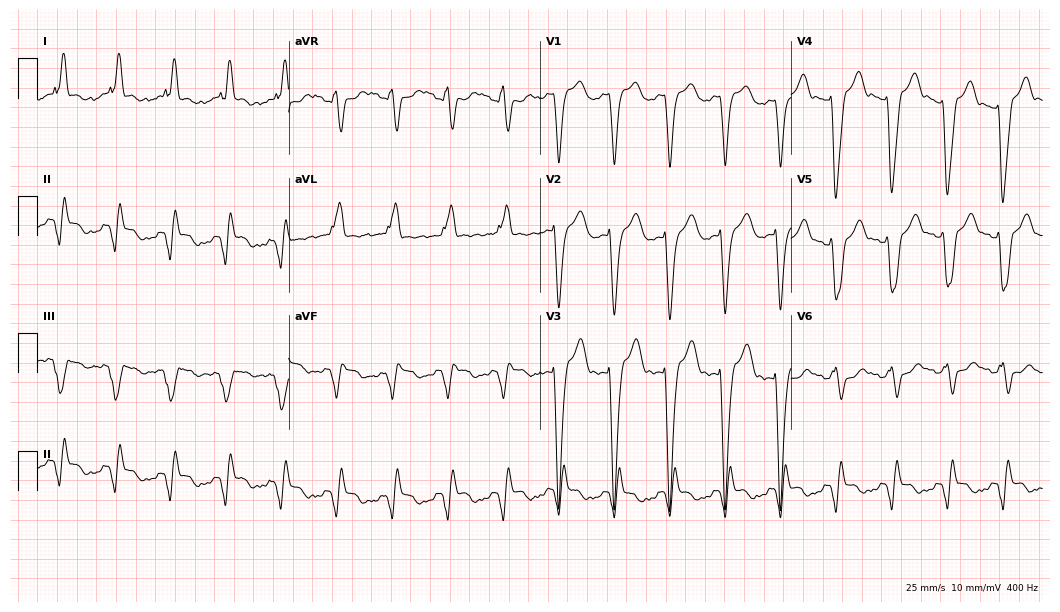
Electrocardiogram (10.2-second recording at 400 Hz), a female, 79 years old. Of the six screened findings (first-degree AV block, right bundle branch block, left bundle branch block, sinus bradycardia, atrial fibrillation, sinus tachycardia), none is recorded.